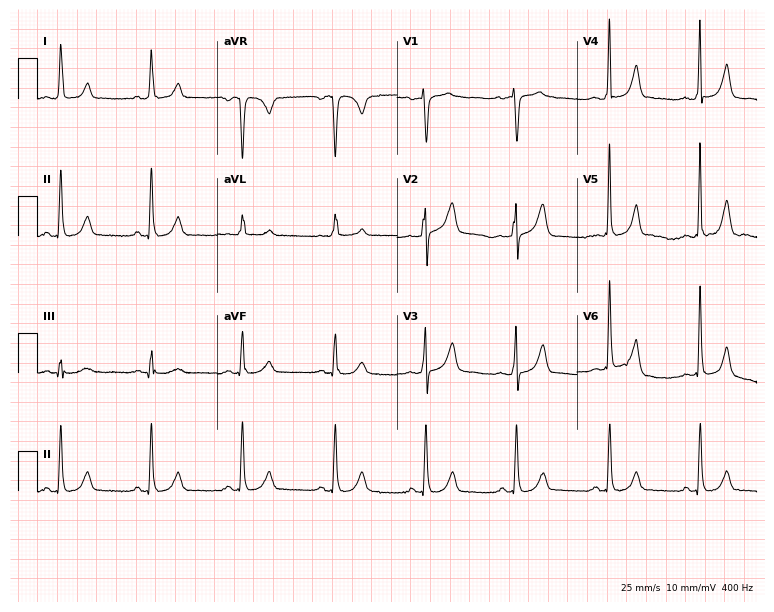
12-lead ECG (7.3-second recording at 400 Hz) from a female, 58 years old. Labelled as a normal ECG.